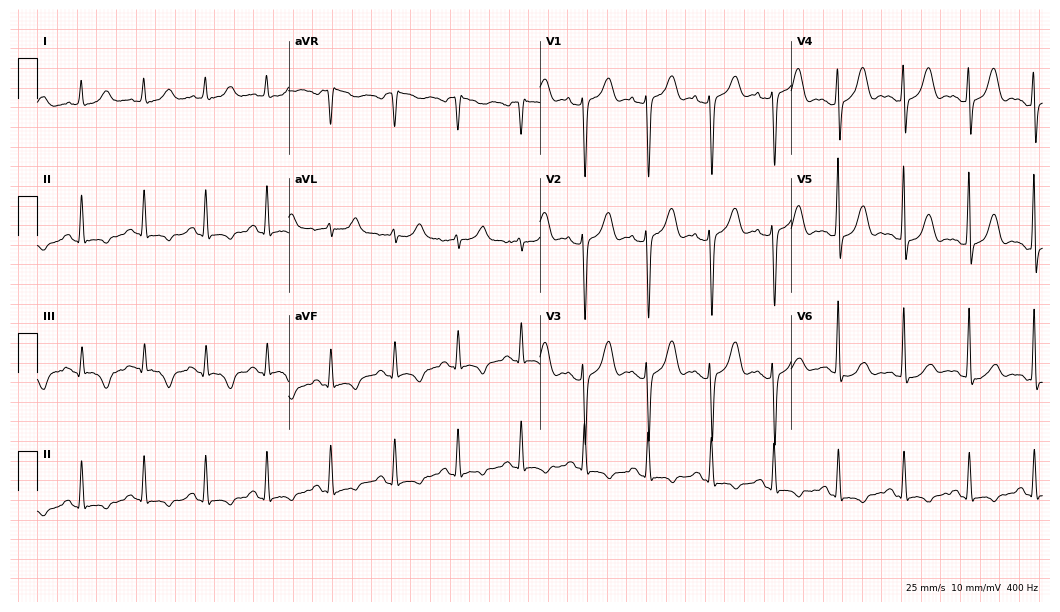
Resting 12-lead electrocardiogram (10.2-second recording at 400 Hz). Patient: a 69-year-old female. None of these six findings is recorded: first-degree AV block, right bundle branch block (RBBB), left bundle branch block (LBBB), sinus bradycardia, atrial fibrillation (AF), sinus tachycardia. Findings outside these six are not listed.